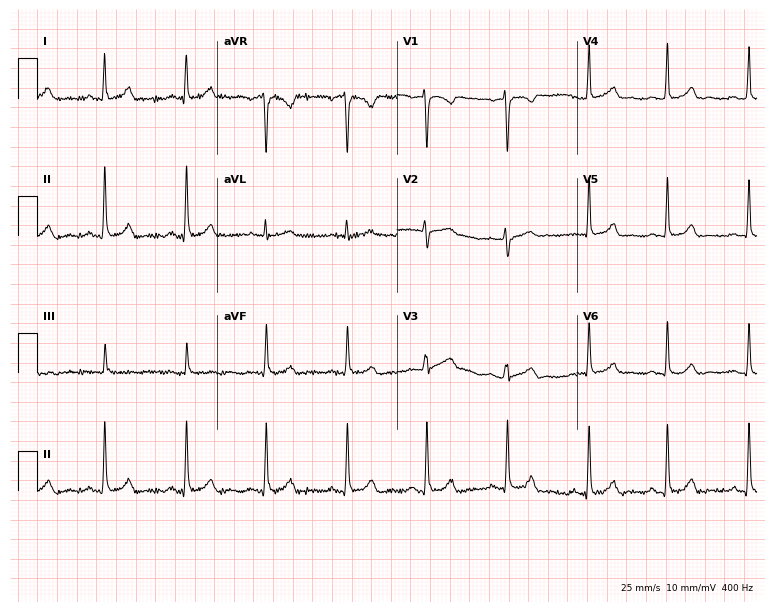
Electrocardiogram (7.3-second recording at 400 Hz), a woman, 32 years old. Overall reading on record: normal ECG.